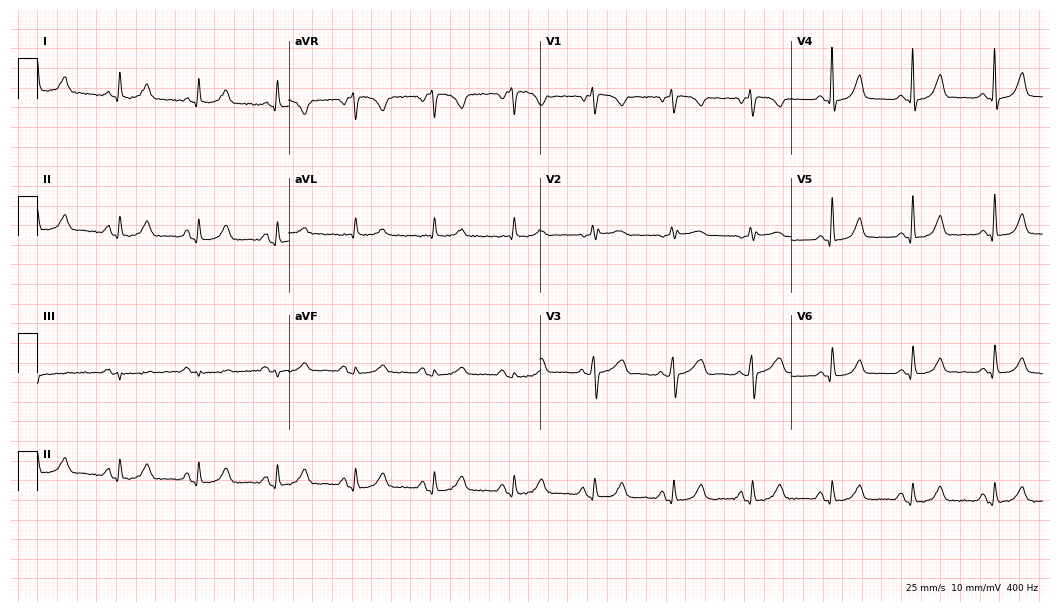
12-lead ECG from a woman, 48 years old (10.2-second recording at 400 Hz). No first-degree AV block, right bundle branch block, left bundle branch block, sinus bradycardia, atrial fibrillation or sinus tachycardia recorded for this tracing.